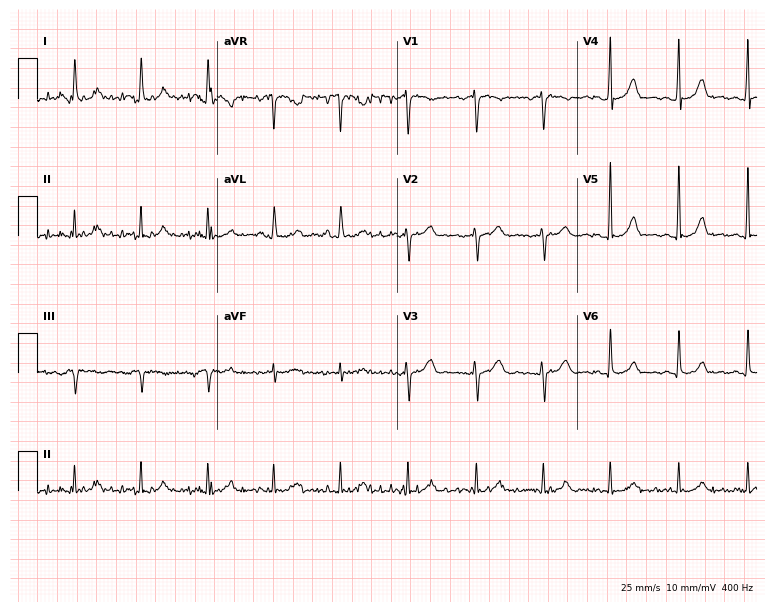
Standard 12-lead ECG recorded from a female, 55 years old (7.3-second recording at 400 Hz). Read as a normal ECG.